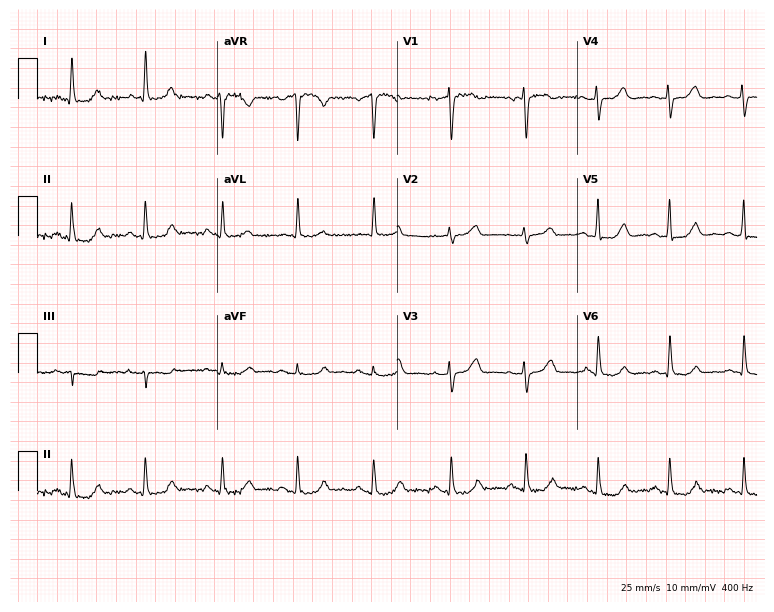
Electrocardiogram (7.3-second recording at 400 Hz), a woman, 69 years old. Of the six screened findings (first-degree AV block, right bundle branch block, left bundle branch block, sinus bradycardia, atrial fibrillation, sinus tachycardia), none is recorded. Other findings, if any, are not listed.